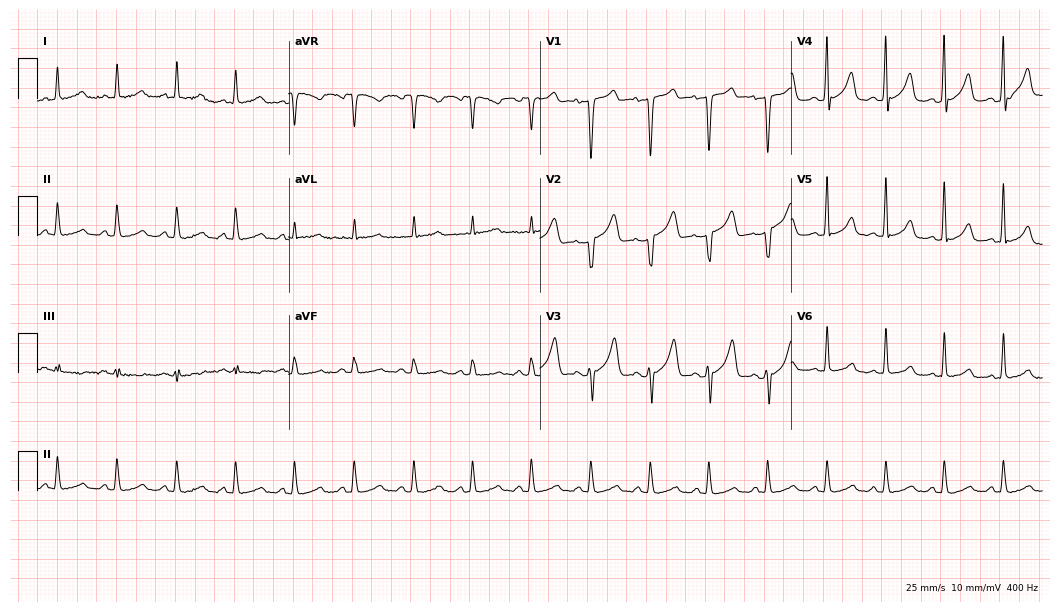
12-lead ECG from a 44-year-old woman. No first-degree AV block, right bundle branch block (RBBB), left bundle branch block (LBBB), sinus bradycardia, atrial fibrillation (AF) or sinus tachycardia recorded for this tracing. Only these six findings were labelled.